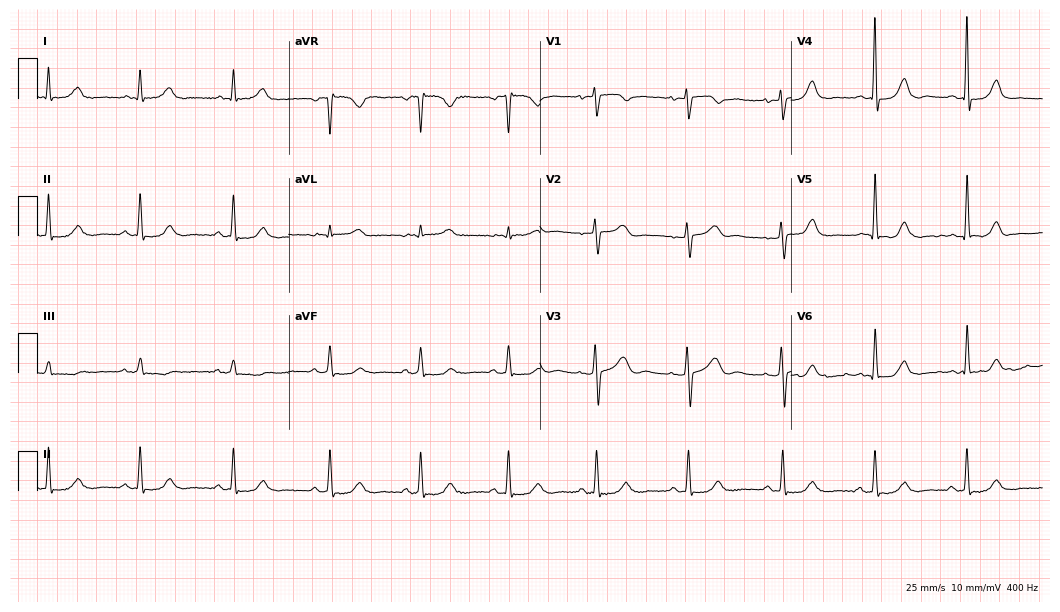
Standard 12-lead ECG recorded from a 54-year-old woman. Read as a normal ECG.